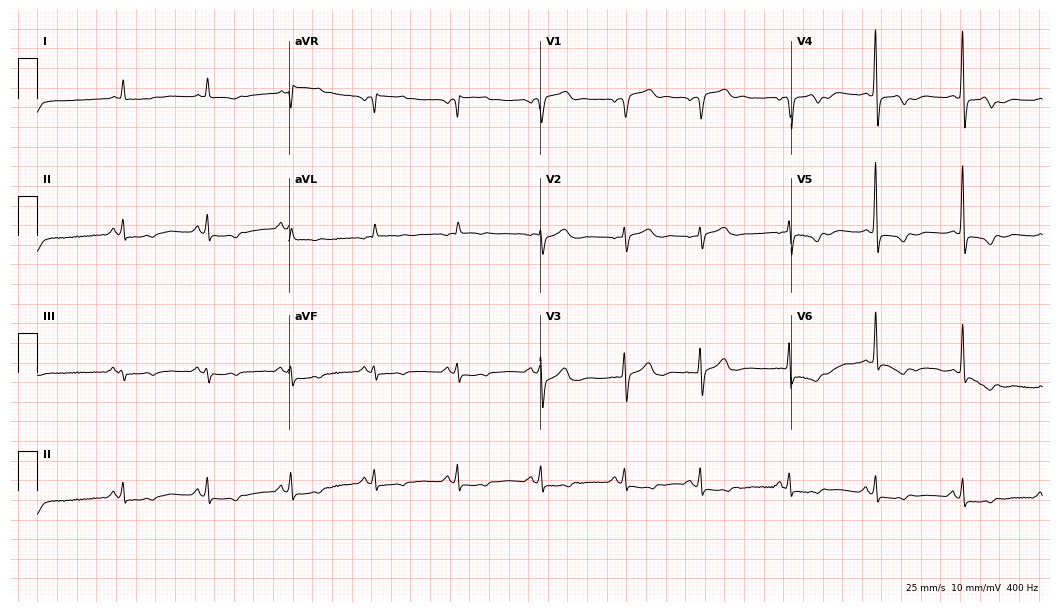
Resting 12-lead electrocardiogram. Patient: a 74-year-old male. None of these six findings is recorded: first-degree AV block, right bundle branch block (RBBB), left bundle branch block (LBBB), sinus bradycardia, atrial fibrillation (AF), sinus tachycardia.